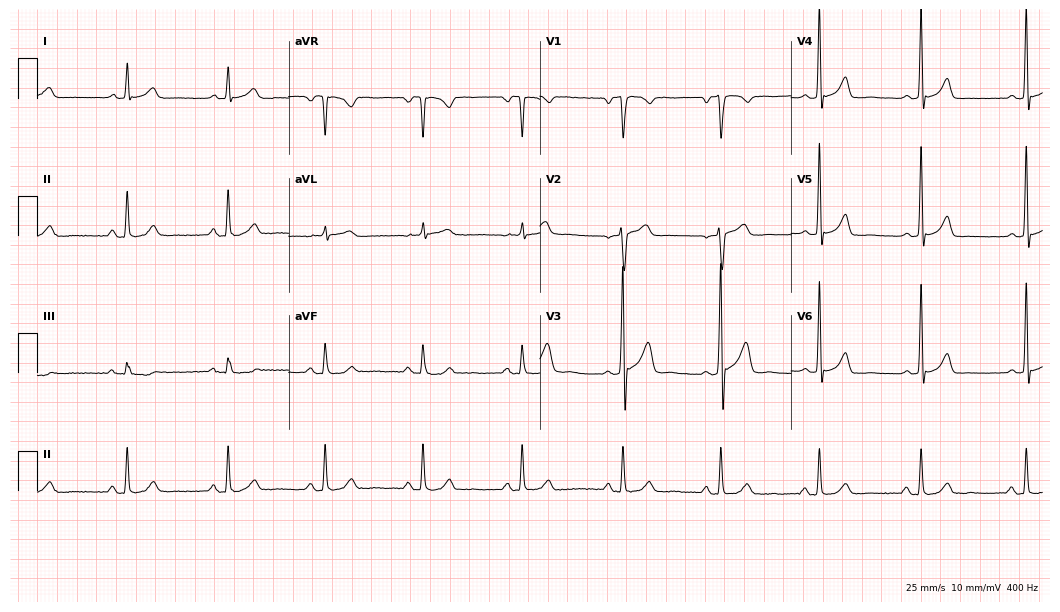
Resting 12-lead electrocardiogram (10.2-second recording at 400 Hz). Patient: a 54-year-old man. Read as a normal ECG.